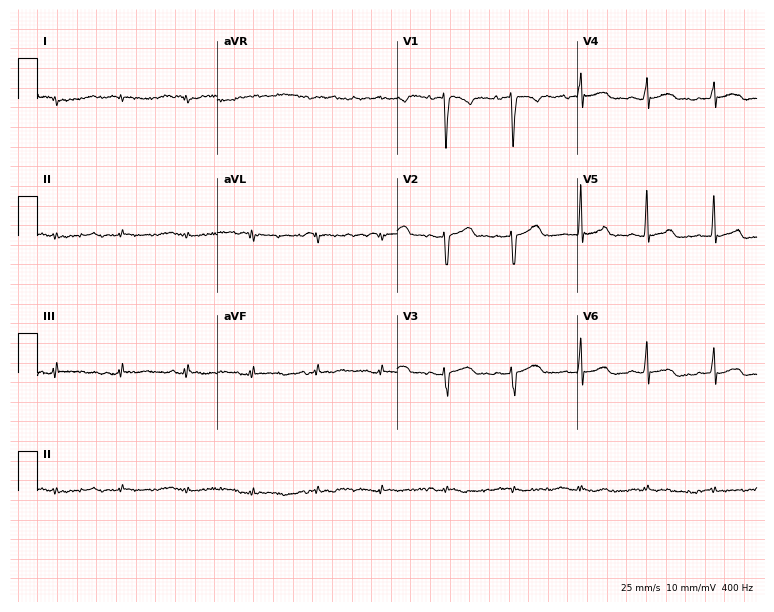
12-lead ECG (7.3-second recording at 400 Hz) from a 27-year-old female. Screened for six findings — first-degree AV block, right bundle branch block, left bundle branch block, sinus bradycardia, atrial fibrillation, sinus tachycardia — none is recorded. Findings outside these six are not listed.